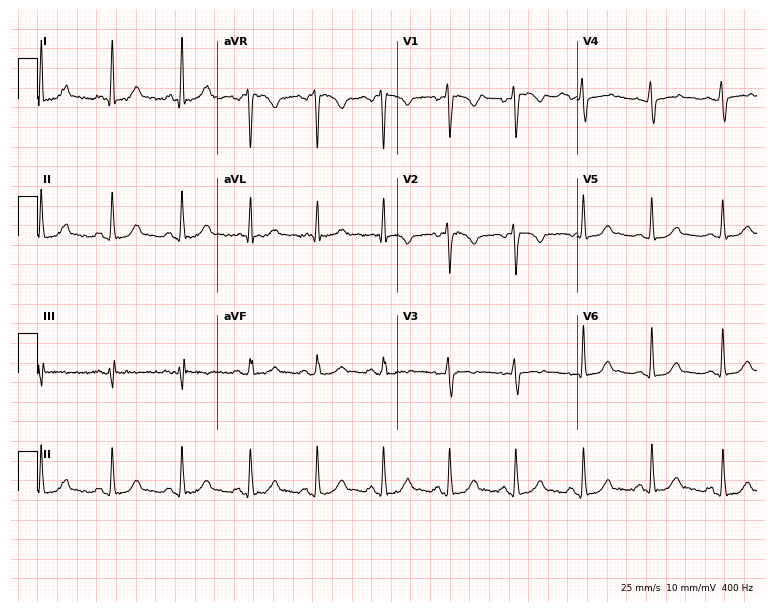
12-lead ECG from a 33-year-old woman. Labelled as a normal ECG.